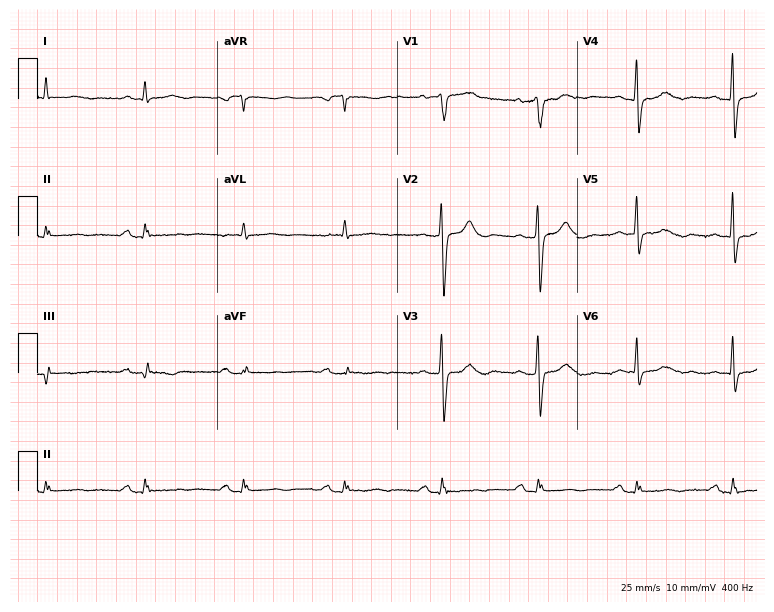
12-lead ECG from an 81-year-old male patient. Screened for six findings — first-degree AV block, right bundle branch block, left bundle branch block, sinus bradycardia, atrial fibrillation, sinus tachycardia — none is recorded.